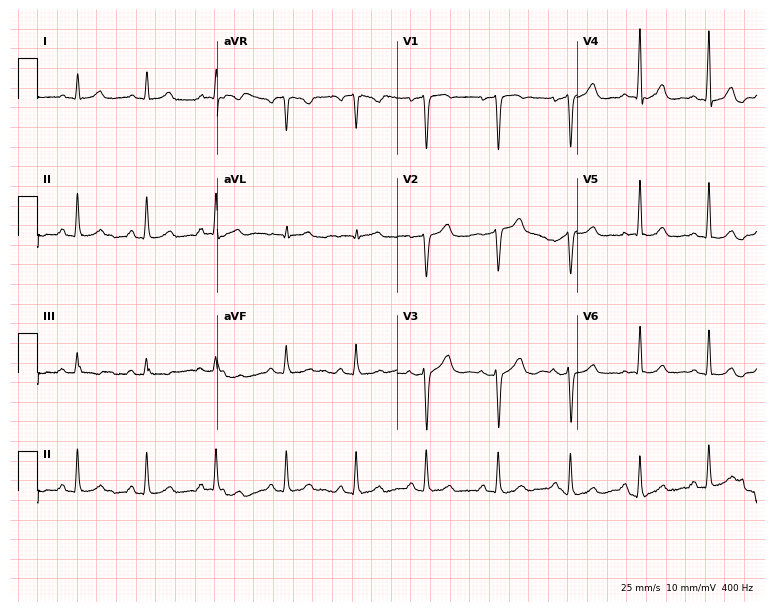
12-lead ECG from a 37-year-old female. Screened for six findings — first-degree AV block, right bundle branch block, left bundle branch block, sinus bradycardia, atrial fibrillation, sinus tachycardia — none is recorded.